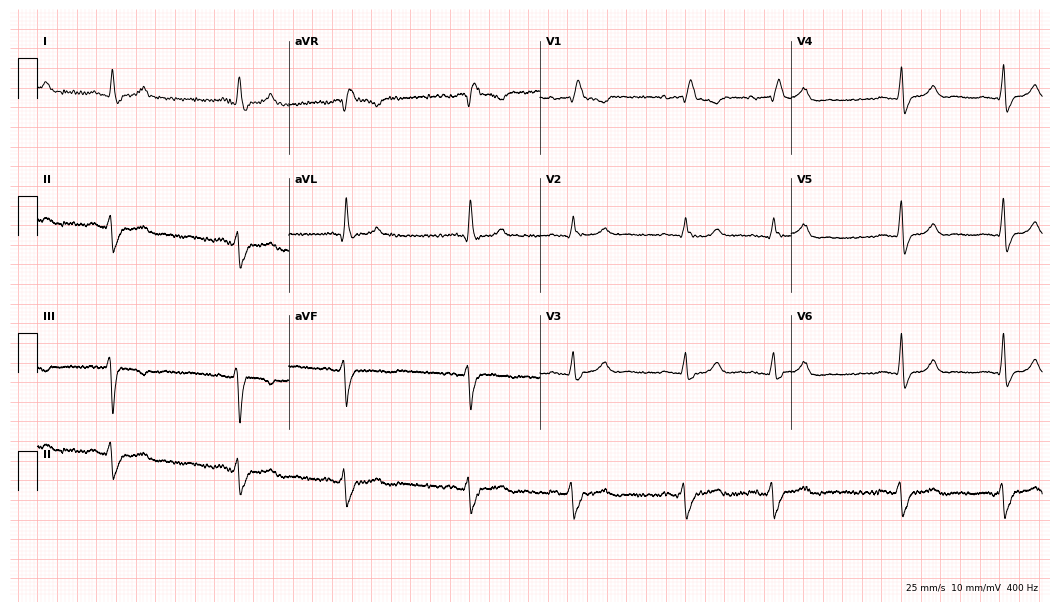
ECG (10.2-second recording at 400 Hz) — a 49-year-old female. Findings include right bundle branch block.